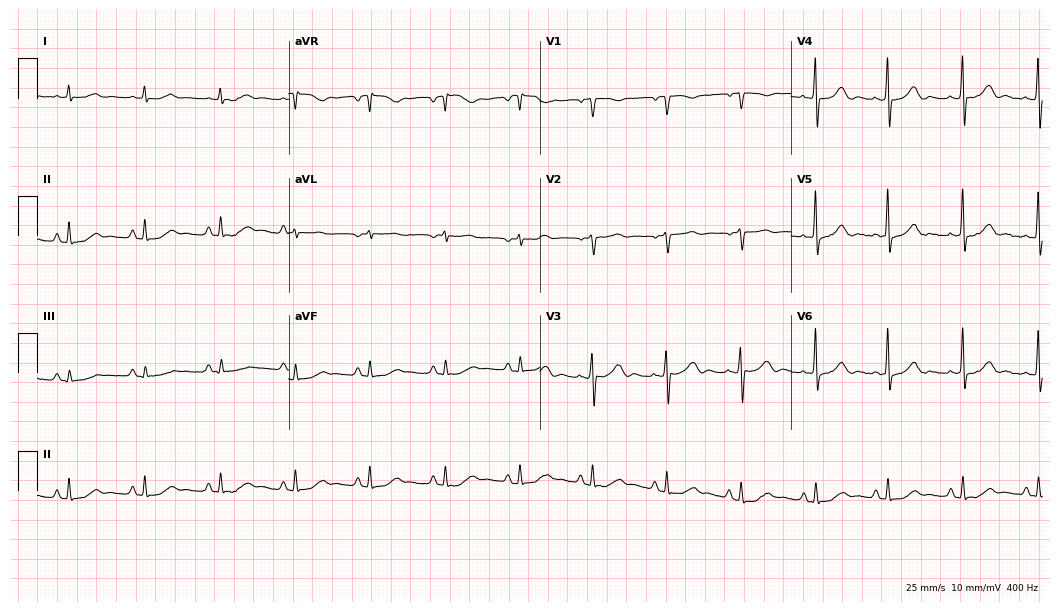
Resting 12-lead electrocardiogram. Patient: a male, 72 years old. Read as a normal ECG.